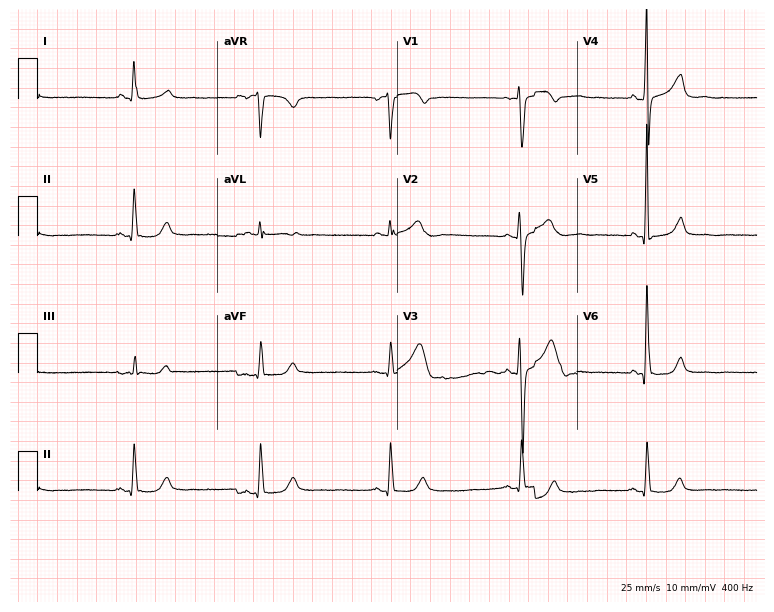
Electrocardiogram, a male, 50 years old. Interpretation includes sinus bradycardia (a sinus rate of 50 beats per minute or less).